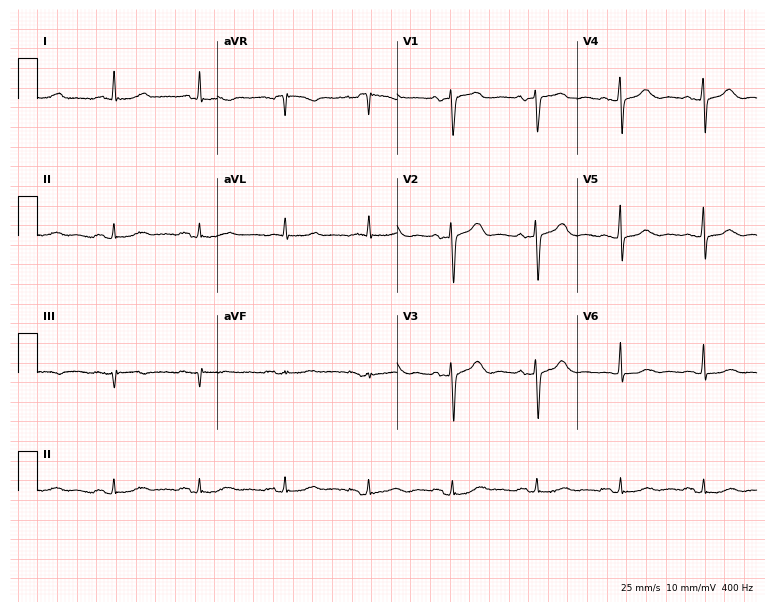
Electrocardiogram (7.3-second recording at 400 Hz), a woman, 48 years old. Of the six screened findings (first-degree AV block, right bundle branch block, left bundle branch block, sinus bradycardia, atrial fibrillation, sinus tachycardia), none is recorded.